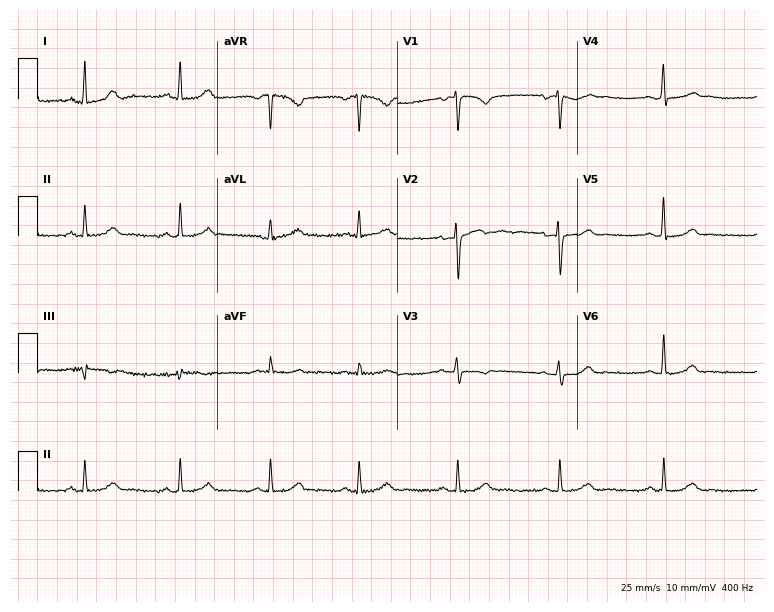
Electrocardiogram (7.3-second recording at 400 Hz), a 38-year-old woman. Of the six screened findings (first-degree AV block, right bundle branch block (RBBB), left bundle branch block (LBBB), sinus bradycardia, atrial fibrillation (AF), sinus tachycardia), none is recorded. Findings outside these six are not listed.